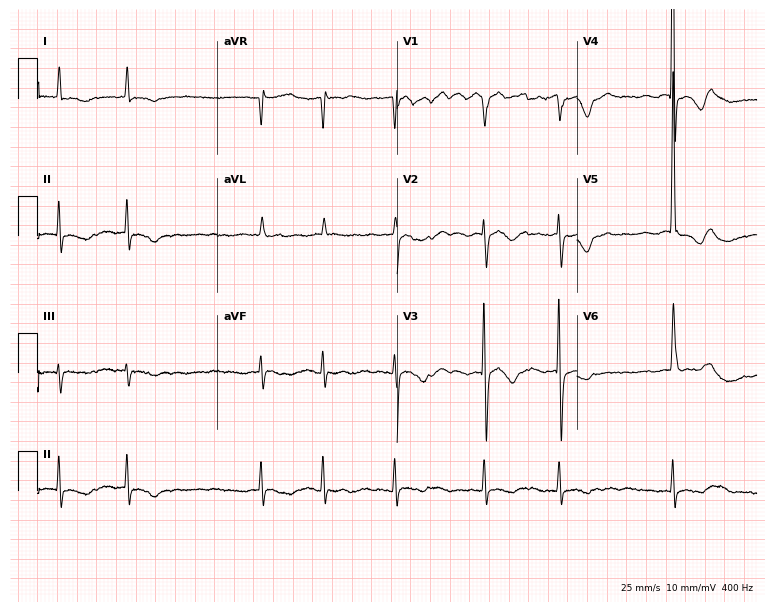
Standard 12-lead ECG recorded from an 84-year-old female patient (7.3-second recording at 400 Hz). The tracing shows atrial fibrillation (AF).